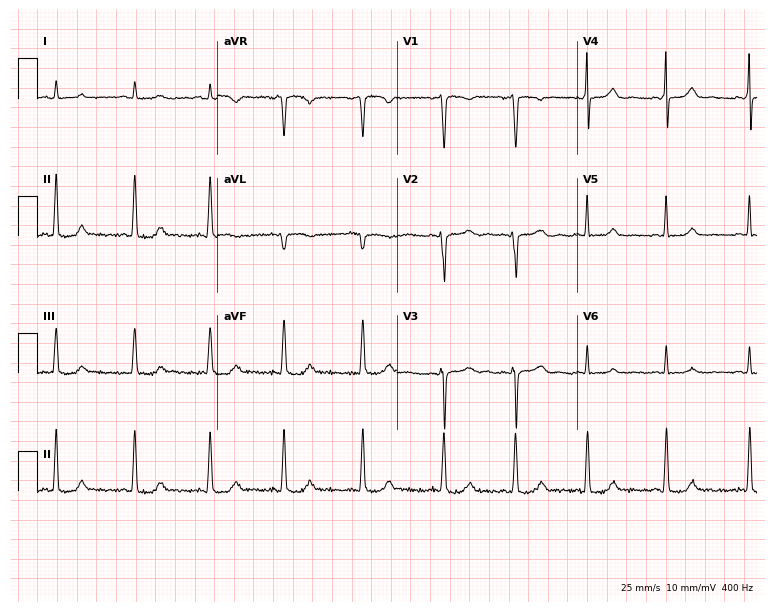
12-lead ECG from a woman, 22 years old. Screened for six findings — first-degree AV block, right bundle branch block, left bundle branch block, sinus bradycardia, atrial fibrillation, sinus tachycardia — none is recorded. Other findings, if any, are not listed.